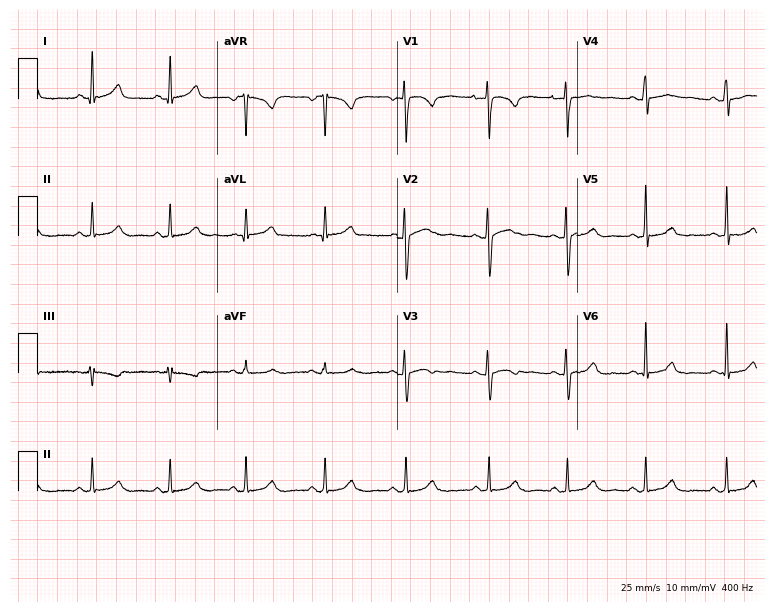
12-lead ECG from a 28-year-old woman. Recorded interpretation: within normal limits.